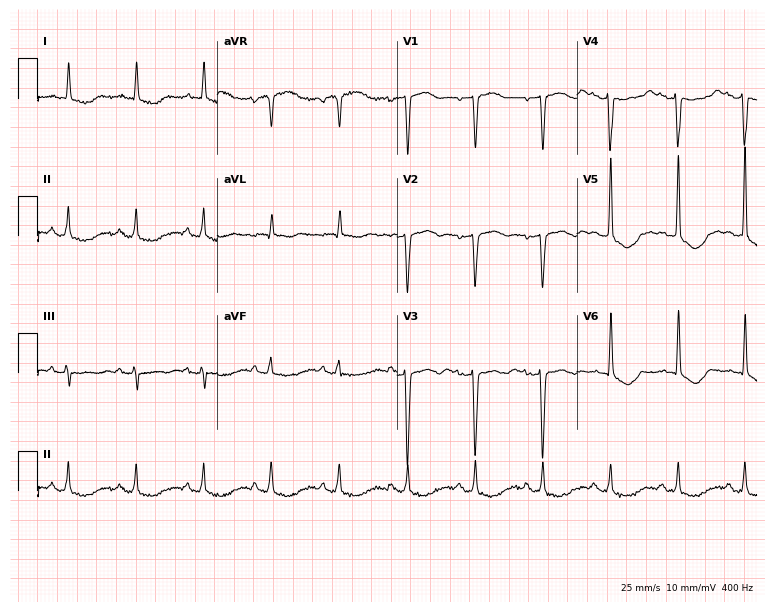
Standard 12-lead ECG recorded from a 57-year-old woman (7.3-second recording at 400 Hz). None of these six findings is recorded: first-degree AV block, right bundle branch block, left bundle branch block, sinus bradycardia, atrial fibrillation, sinus tachycardia.